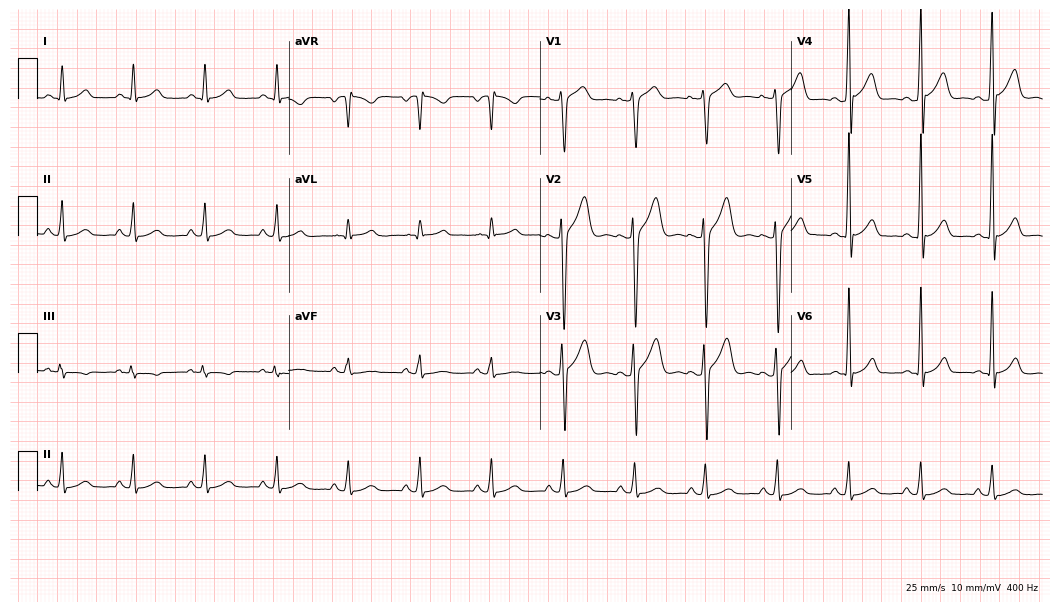
Resting 12-lead electrocardiogram. Patient: a man, 36 years old. None of these six findings is recorded: first-degree AV block, right bundle branch block (RBBB), left bundle branch block (LBBB), sinus bradycardia, atrial fibrillation (AF), sinus tachycardia. Findings outside these six are not listed.